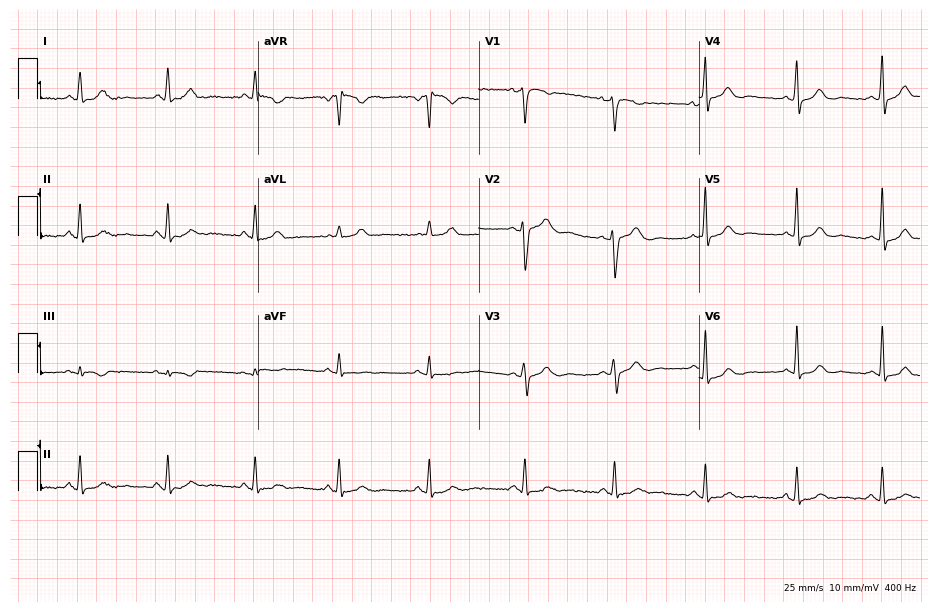
12-lead ECG from a woman, 47 years old. No first-degree AV block, right bundle branch block, left bundle branch block, sinus bradycardia, atrial fibrillation or sinus tachycardia recorded for this tracing. Findings outside these six are not listed.